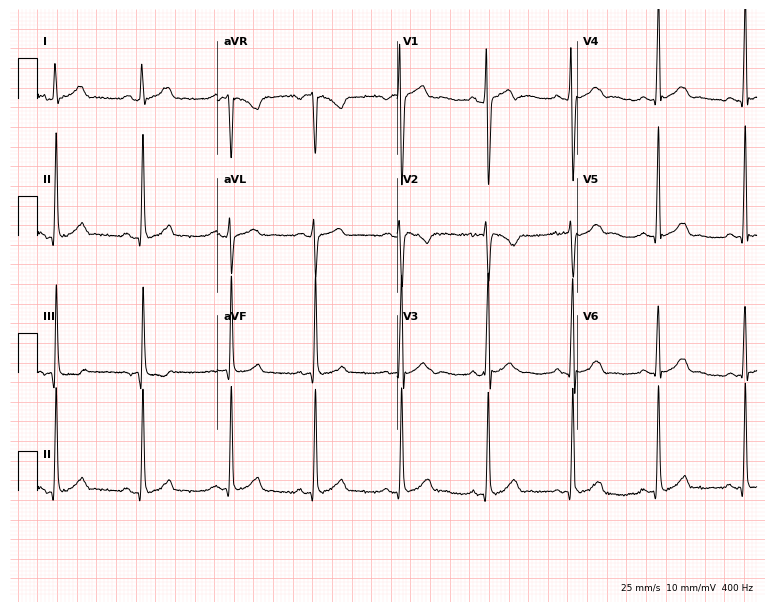
ECG — a 22-year-old male. Labelled as a normal ECG.